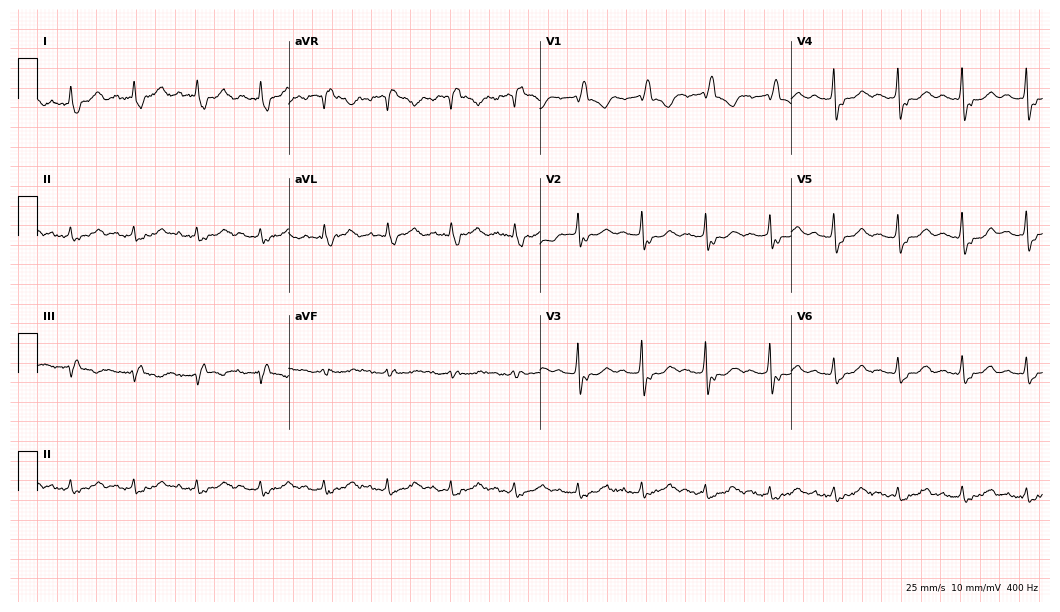
Resting 12-lead electrocardiogram (10.2-second recording at 400 Hz). Patient: a male, 72 years old. None of these six findings is recorded: first-degree AV block, right bundle branch block, left bundle branch block, sinus bradycardia, atrial fibrillation, sinus tachycardia.